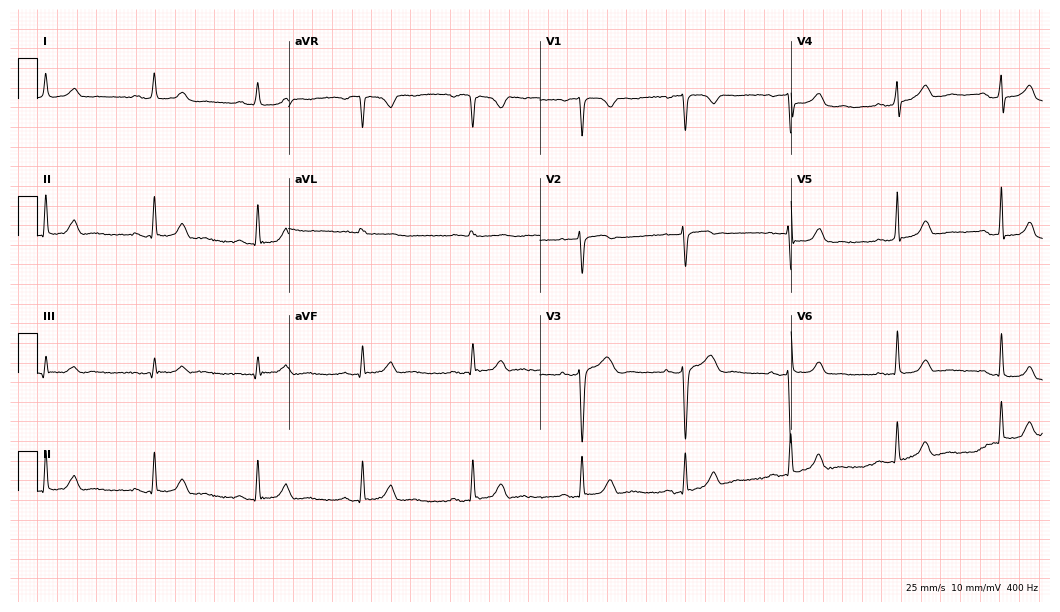
ECG (10.2-second recording at 400 Hz) — a woman, 39 years old. Labelled as a normal ECG.